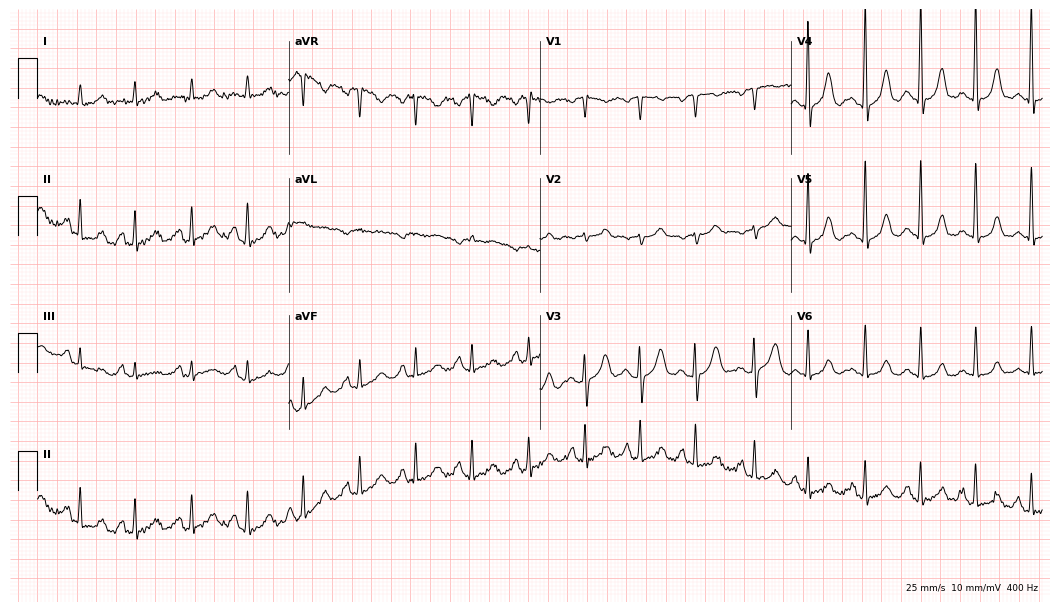
Standard 12-lead ECG recorded from a female, 68 years old. The tracing shows sinus tachycardia (a sinus rate of 100 beats per minute or more).